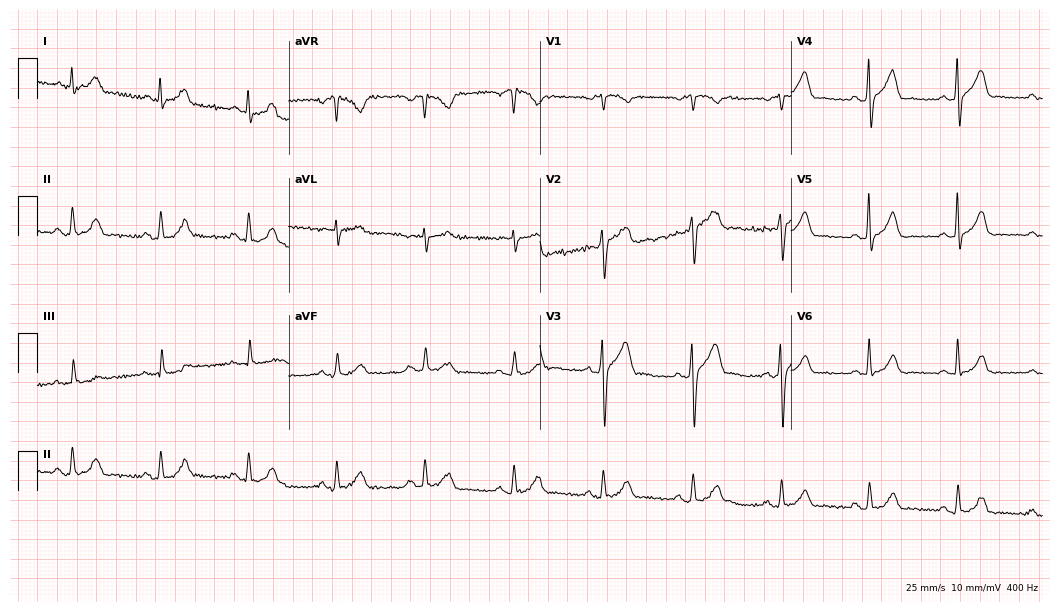
12-lead ECG from a 62-year-old male (10.2-second recording at 400 Hz). No first-degree AV block, right bundle branch block (RBBB), left bundle branch block (LBBB), sinus bradycardia, atrial fibrillation (AF) or sinus tachycardia recorded for this tracing. Findings outside these six are not listed.